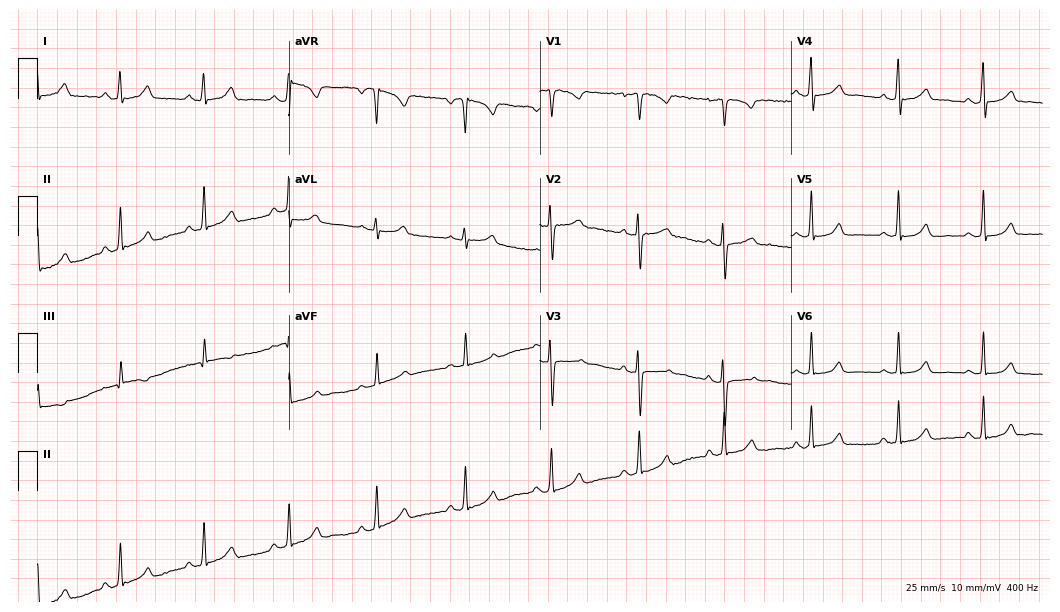
Standard 12-lead ECG recorded from a woman, 23 years old. None of these six findings is recorded: first-degree AV block, right bundle branch block, left bundle branch block, sinus bradycardia, atrial fibrillation, sinus tachycardia.